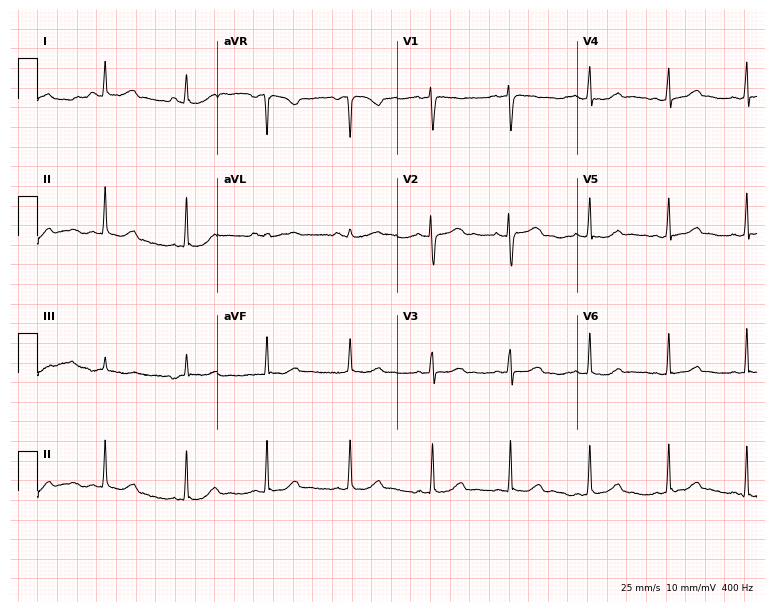
Resting 12-lead electrocardiogram (7.3-second recording at 400 Hz). Patient: a 26-year-old female. Read as a normal ECG.